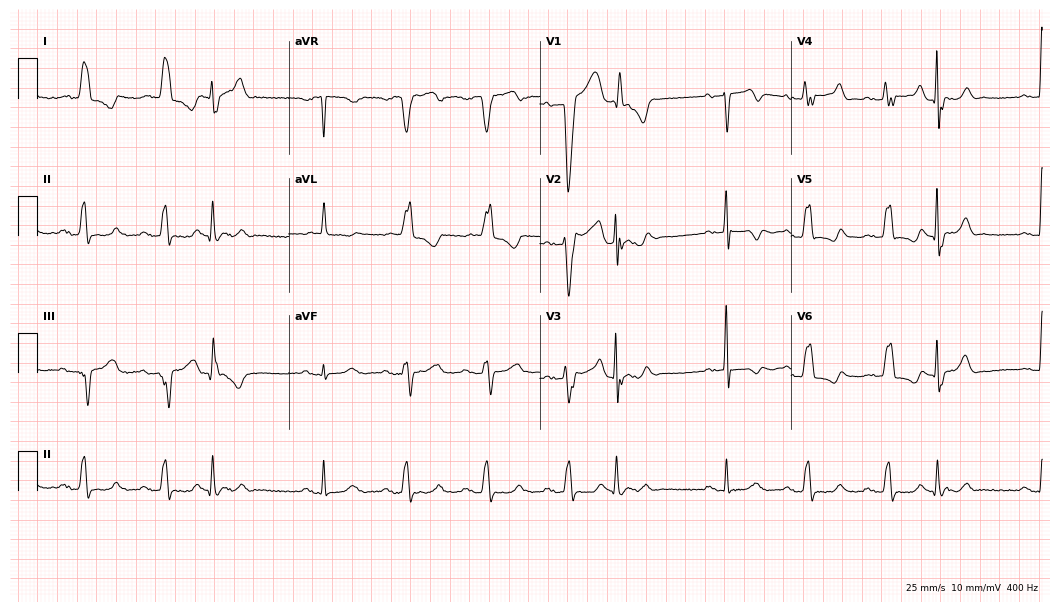
Standard 12-lead ECG recorded from an 82-year-old woman. None of these six findings is recorded: first-degree AV block, right bundle branch block (RBBB), left bundle branch block (LBBB), sinus bradycardia, atrial fibrillation (AF), sinus tachycardia. Other findings, if any, are not listed.